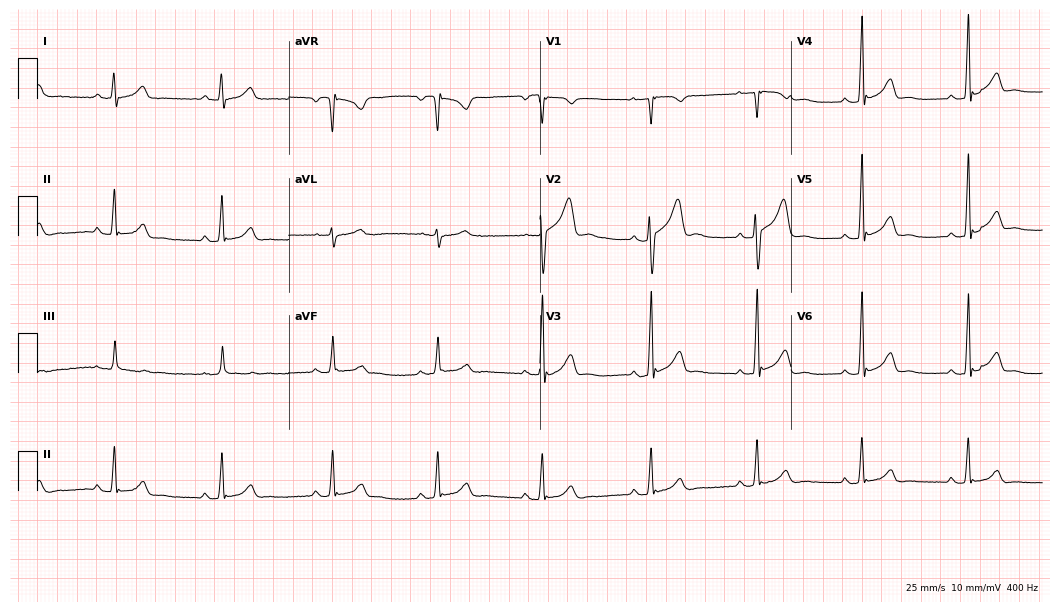
Standard 12-lead ECG recorded from a 38-year-old male patient (10.2-second recording at 400 Hz). None of these six findings is recorded: first-degree AV block, right bundle branch block, left bundle branch block, sinus bradycardia, atrial fibrillation, sinus tachycardia. Only these six findings were labelled.